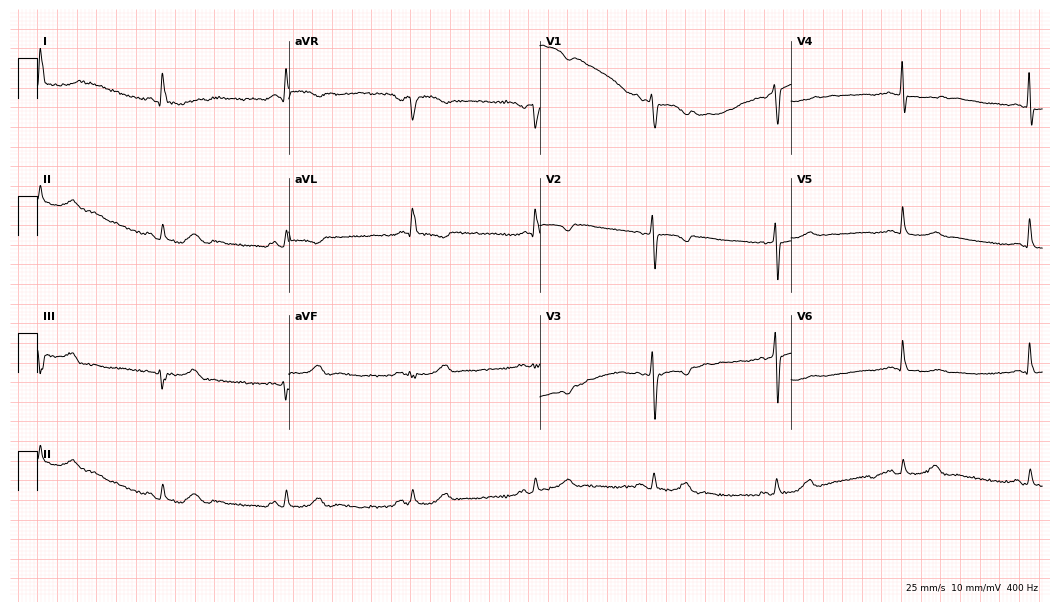
Resting 12-lead electrocardiogram. Patient: a 68-year-old female. The tracing shows sinus bradycardia (a sinus rate of 50 beats per minute or less).